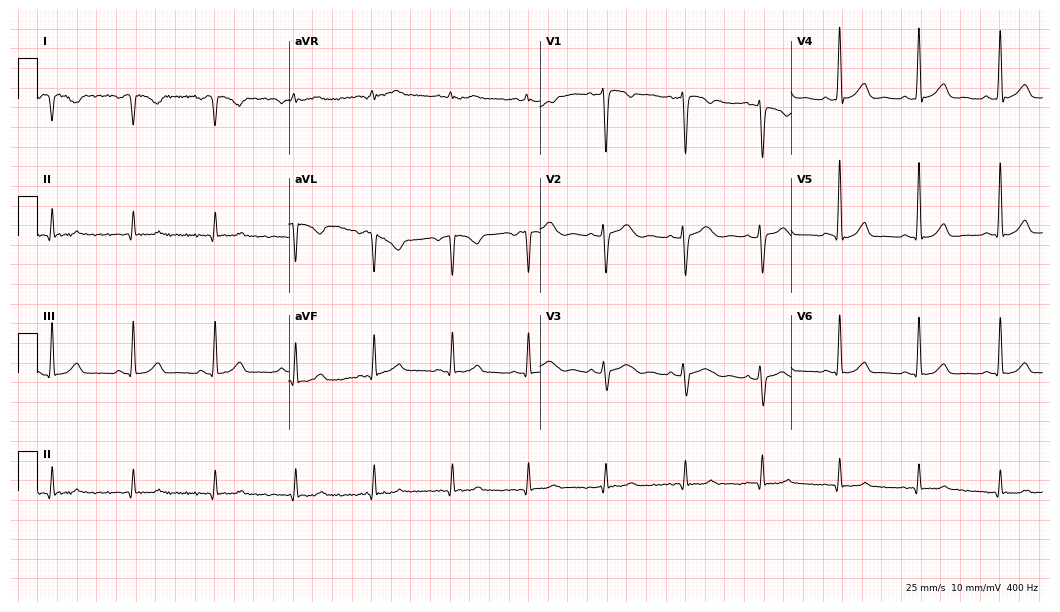
12-lead ECG from a female, 39 years old. No first-degree AV block, right bundle branch block, left bundle branch block, sinus bradycardia, atrial fibrillation or sinus tachycardia recorded for this tracing.